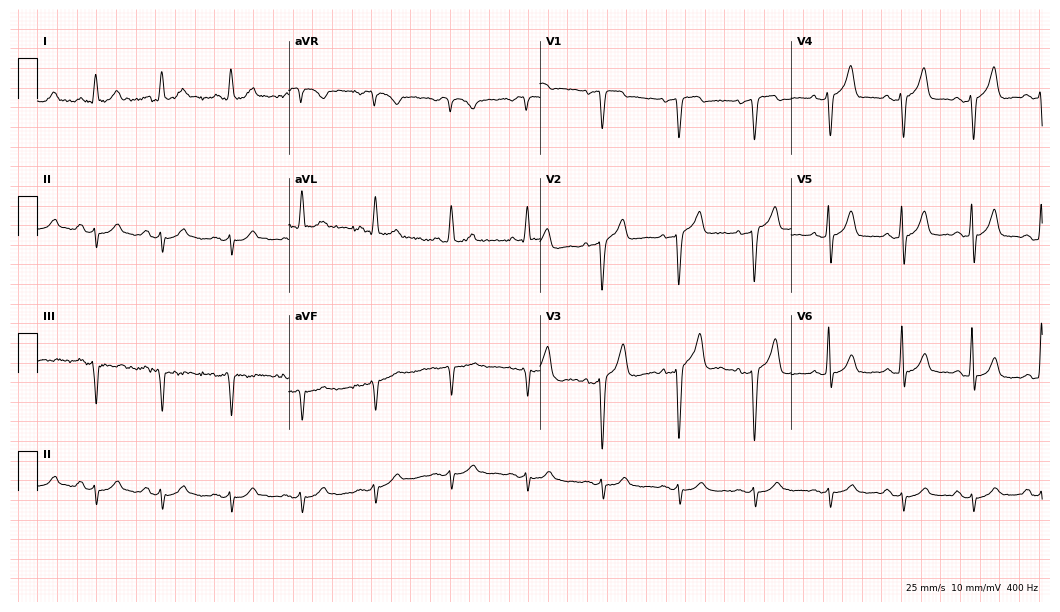
12-lead ECG from a male patient, 62 years old. No first-degree AV block, right bundle branch block (RBBB), left bundle branch block (LBBB), sinus bradycardia, atrial fibrillation (AF) or sinus tachycardia recorded for this tracing.